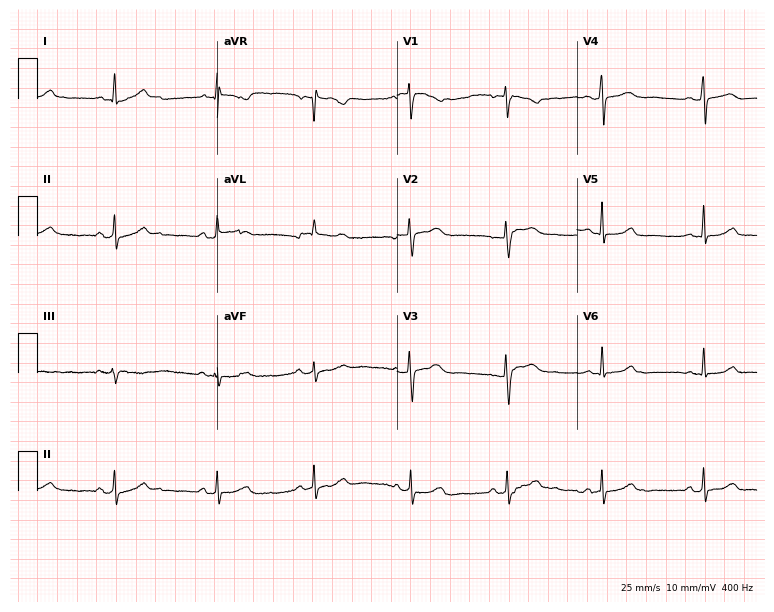
ECG — a female patient, 36 years old. Labelled as a normal ECG.